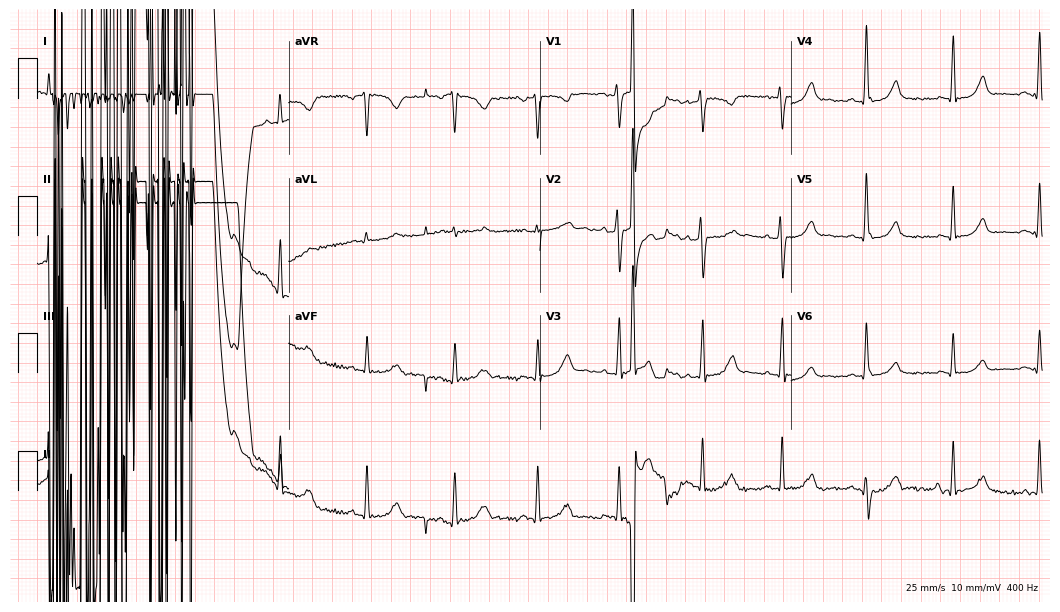
ECG (10.2-second recording at 400 Hz) — a 26-year-old woman. Screened for six findings — first-degree AV block, right bundle branch block, left bundle branch block, sinus bradycardia, atrial fibrillation, sinus tachycardia — none is recorded. Findings outside these six are not listed.